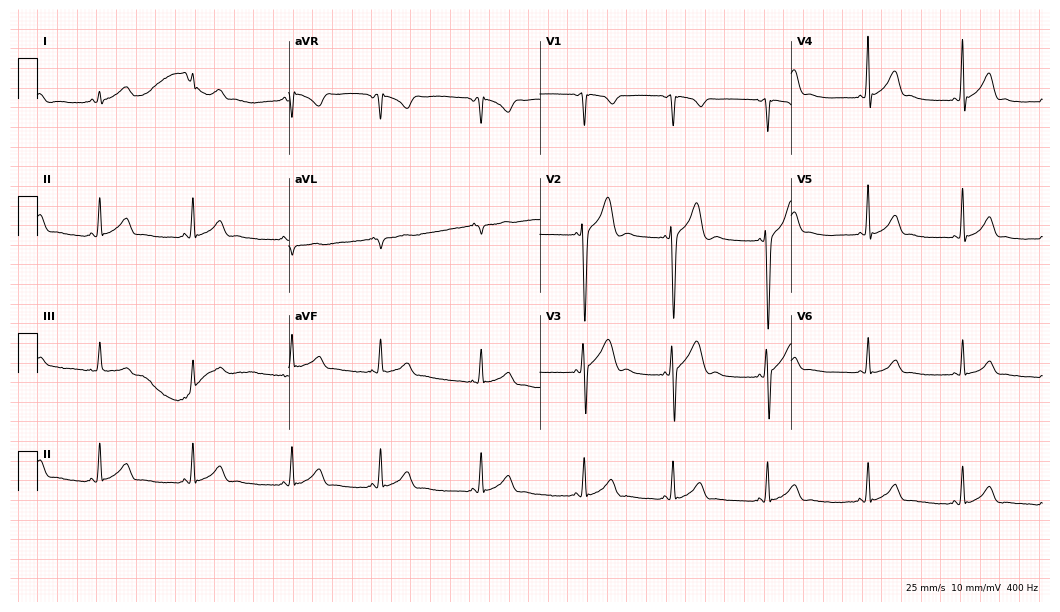
Resting 12-lead electrocardiogram (10.2-second recording at 400 Hz). Patient: a 17-year-old male. None of these six findings is recorded: first-degree AV block, right bundle branch block, left bundle branch block, sinus bradycardia, atrial fibrillation, sinus tachycardia.